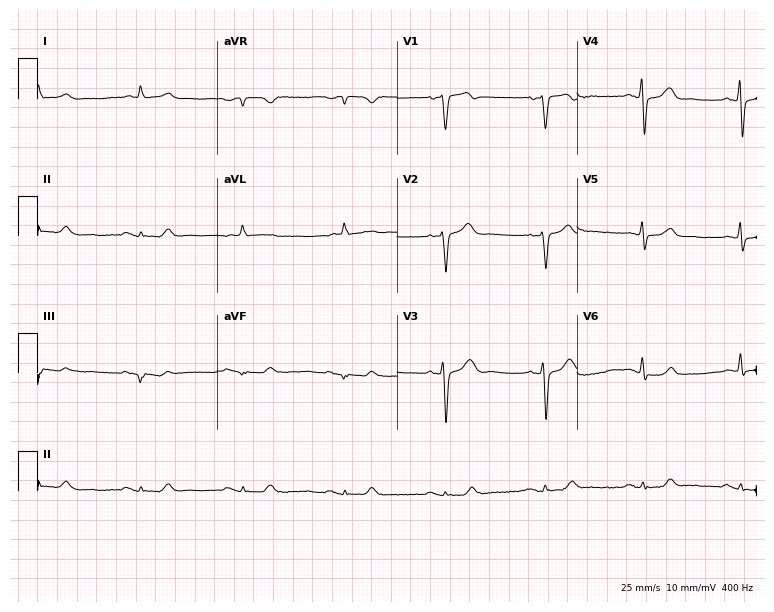
12-lead ECG from a man, 72 years old (7.3-second recording at 400 Hz). No first-degree AV block, right bundle branch block, left bundle branch block, sinus bradycardia, atrial fibrillation or sinus tachycardia recorded for this tracing. Other findings, if any, are not listed.